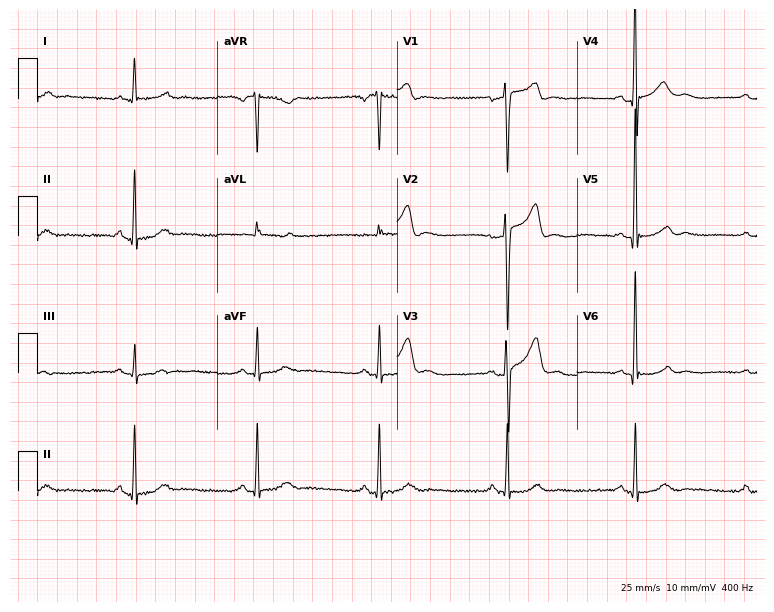
Standard 12-lead ECG recorded from a male patient, 61 years old. Read as a normal ECG.